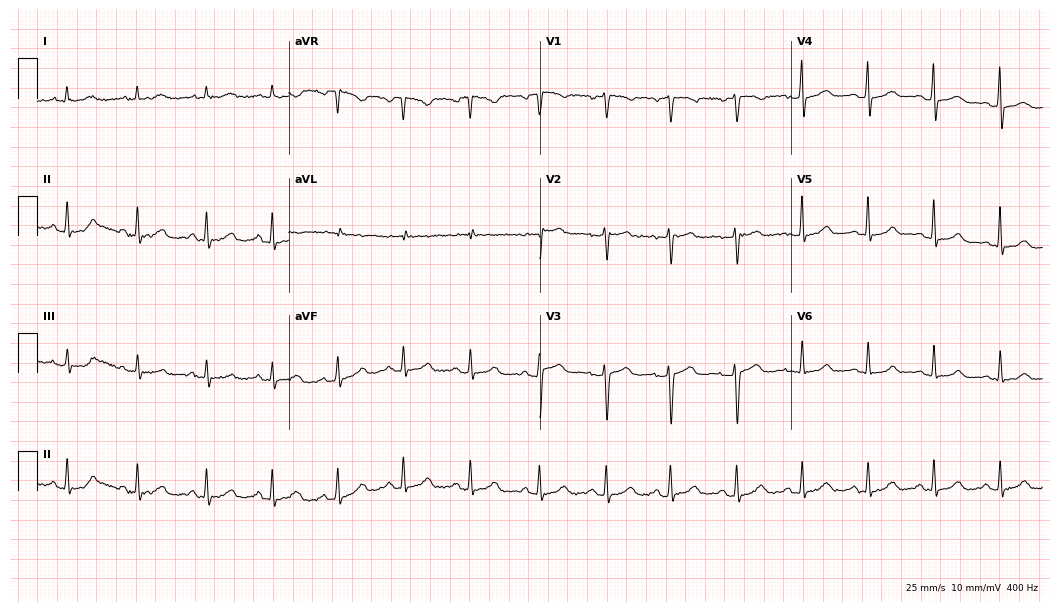
12-lead ECG from a 33-year-old woman. Labelled as a normal ECG.